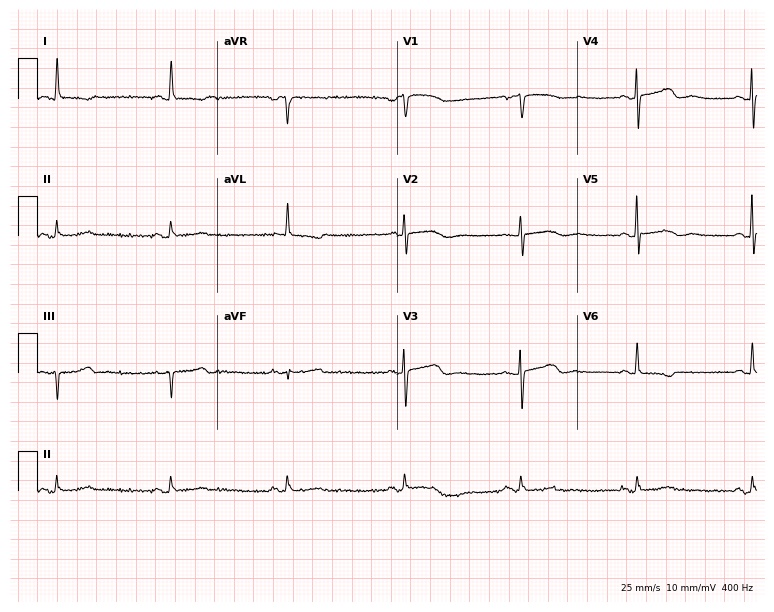
12-lead ECG from a 77-year-old female patient. No first-degree AV block, right bundle branch block, left bundle branch block, sinus bradycardia, atrial fibrillation or sinus tachycardia recorded for this tracing. Findings outside these six are not listed.